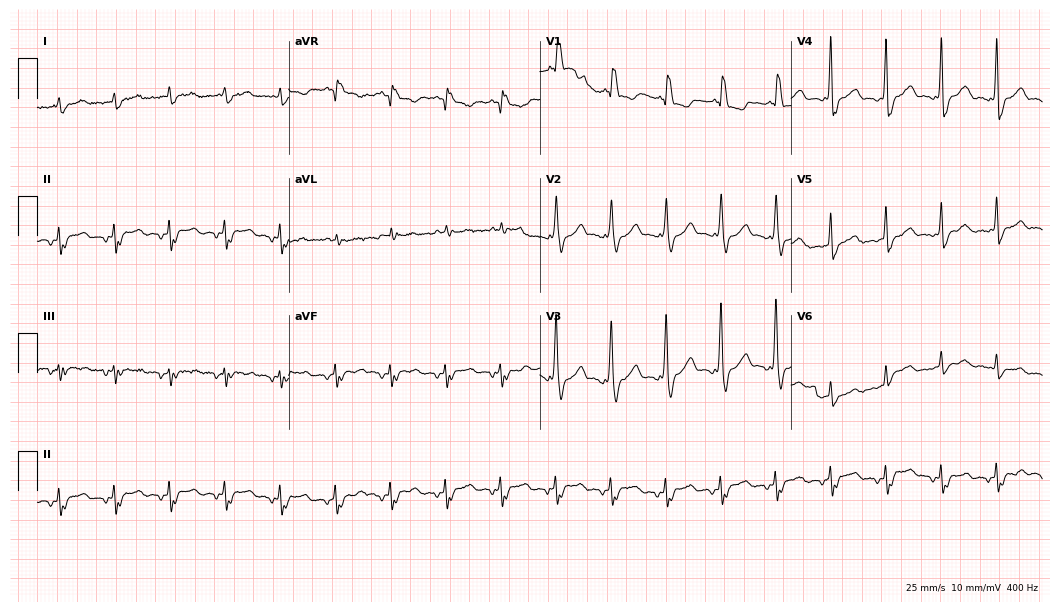
Electrocardiogram (10.2-second recording at 400 Hz), a male patient, 75 years old. Interpretation includes right bundle branch block, sinus tachycardia (a sinus rate of 100 beats per minute or more).